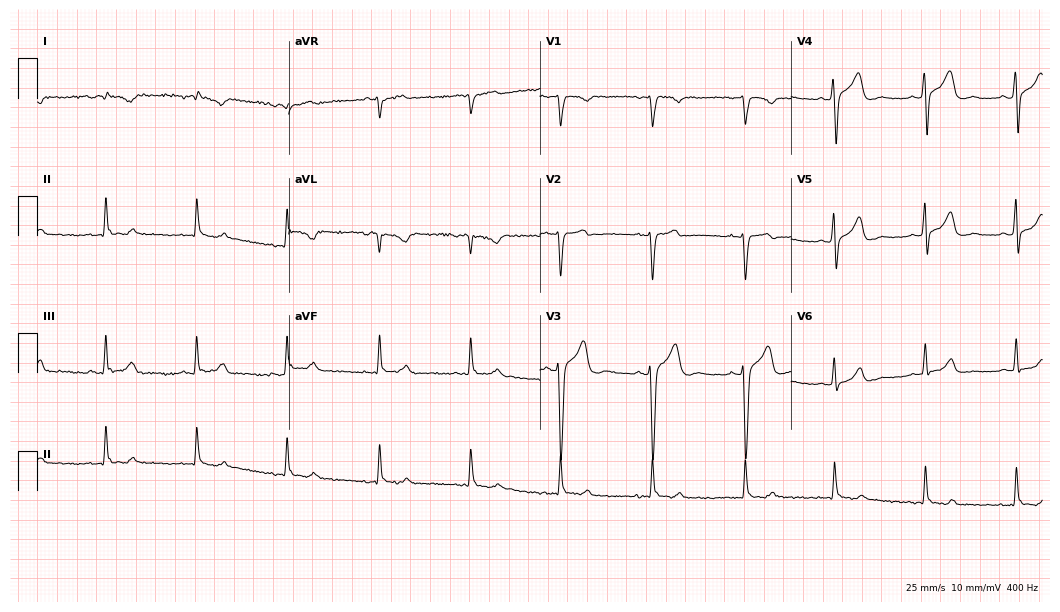
12-lead ECG from a 52-year-old female. Labelled as a normal ECG.